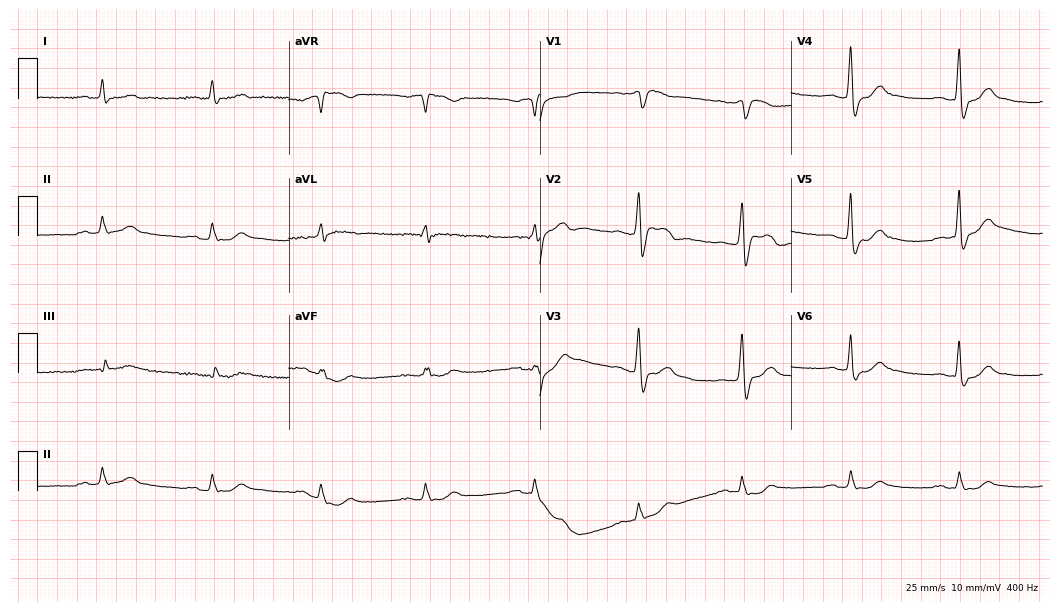
ECG — a male, 52 years old. Screened for six findings — first-degree AV block, right bundle branch block (RBBB), left bundle branch block (LBBB), sinus bradycardia, atrial fibrillation (AF), sinus tachycardia — none is recorded.